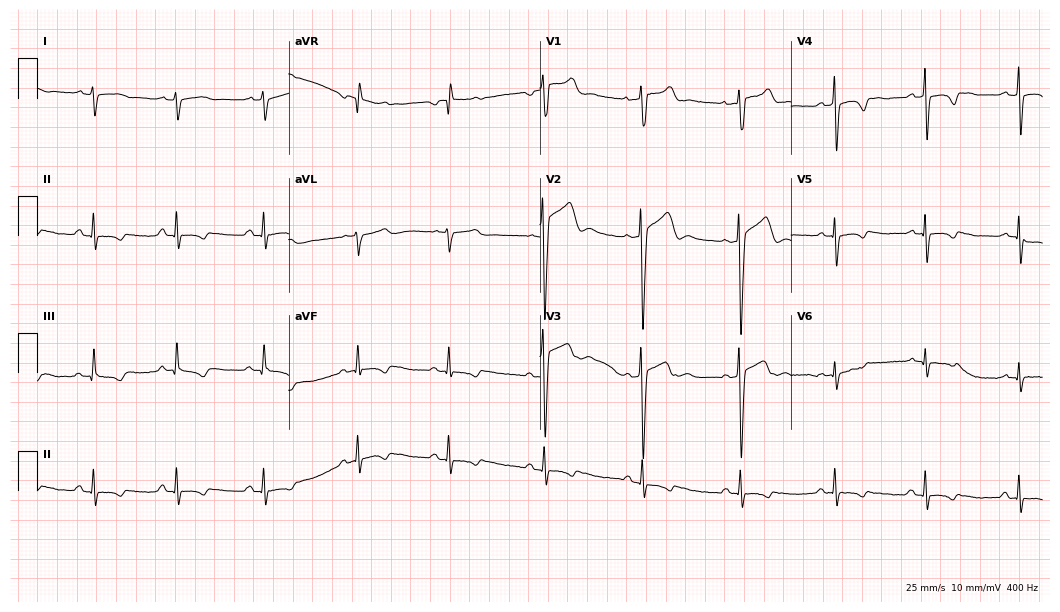
Resting 12-lead electrocardiogram. Patient: a 19-year-old man. None of these six findings is recorded: first-degree AV block, right bundle branch block, left bundle branch block, sinus bradycardia, atrial fibrillation, sinus tachycardia. Other findings, if any, are not listed.